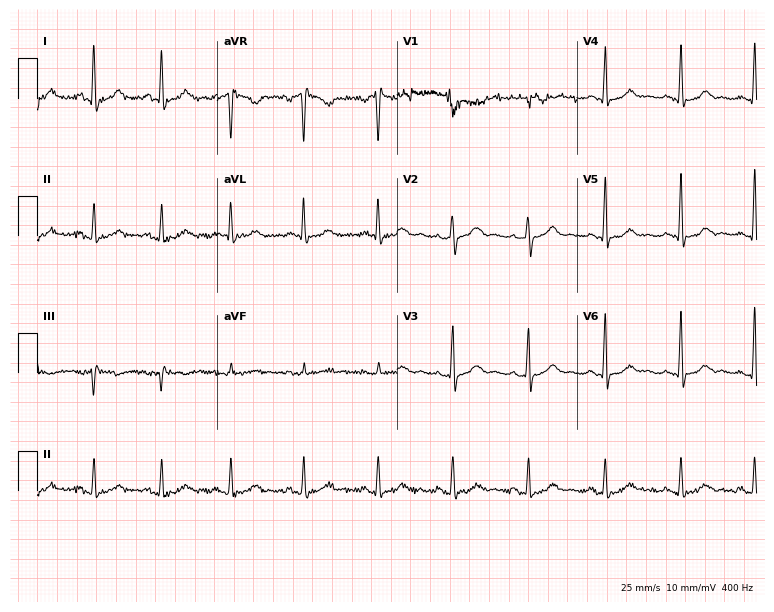
Resting 12-lead electrocardiogram. Patient: a female, 43 years old. None of these six findings is recorded: first-degree AV block, right bundle branch block, left bundle branch block, sinus bradycardia, atrial fibrillation, sinus tachycardia.